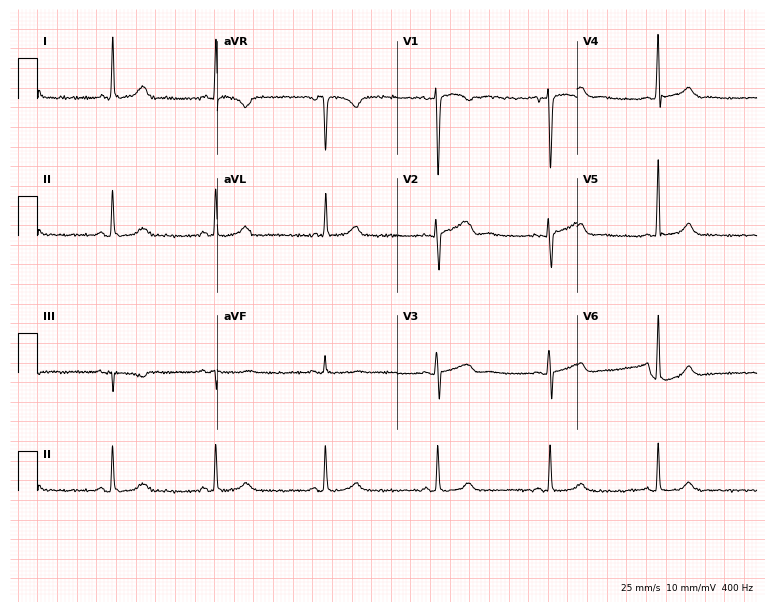
12-lead ECG from a 50-year-old female (7.3-second recording at 400 Hz). Recorded interpretation: within normal limits.